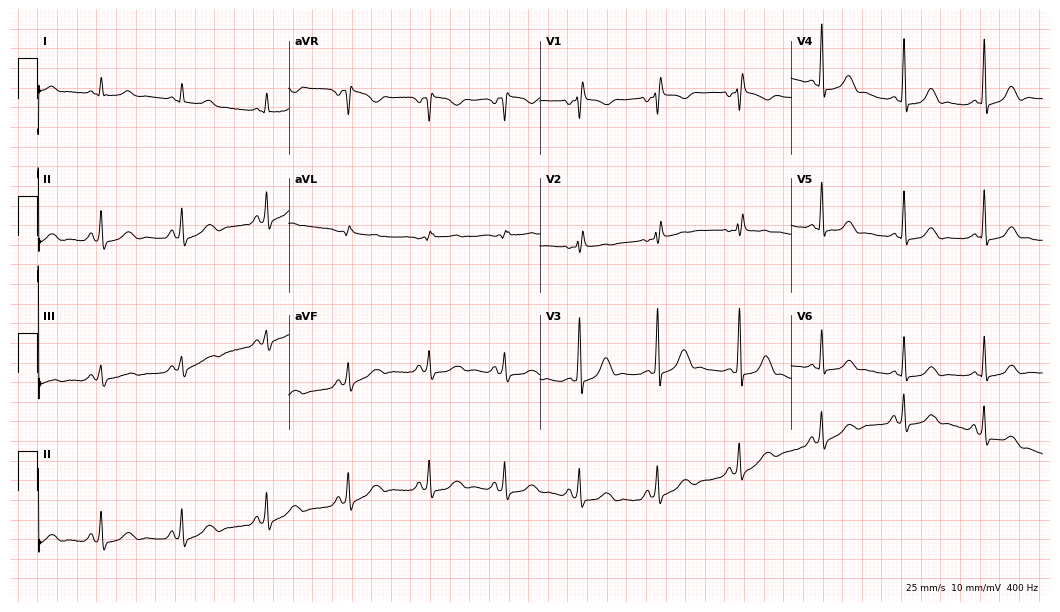
12-lead ECG from a 37-year-old woman (10.2-second recording at 400 Hz). No first-degree AV block, right bundle branch block (RBBB), left bundle branch block (LBBB), sinus bradycardia, atrial fibrillation (AF) or sinus tachycardia recorded for this tracing. Other findings, if any, are not listed.